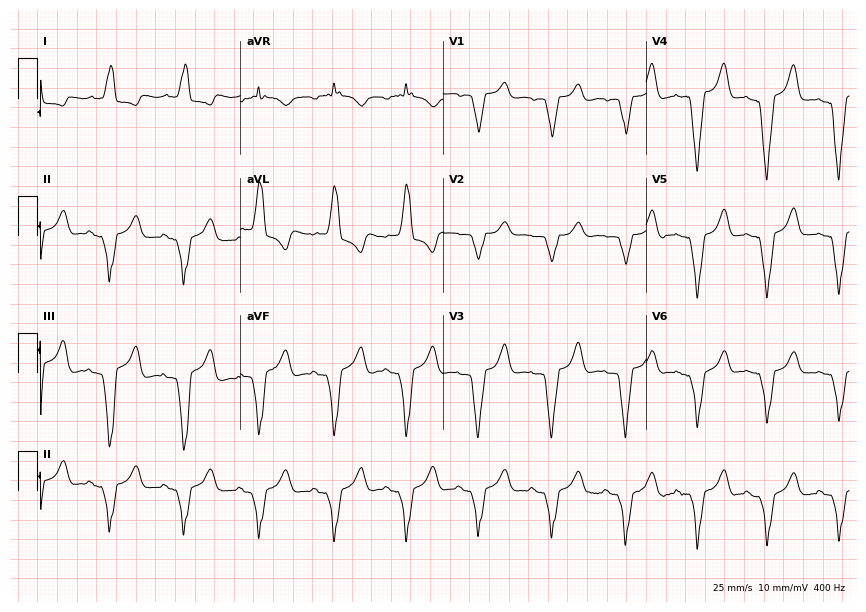
12-lead ECG from a female, 81 years old. Screened for six findings — first-degree AV block, right bundle branch block, left bundle branch block, sinus bradycardia, atrial fibrillation, sinus tachycardia — none is recorded.